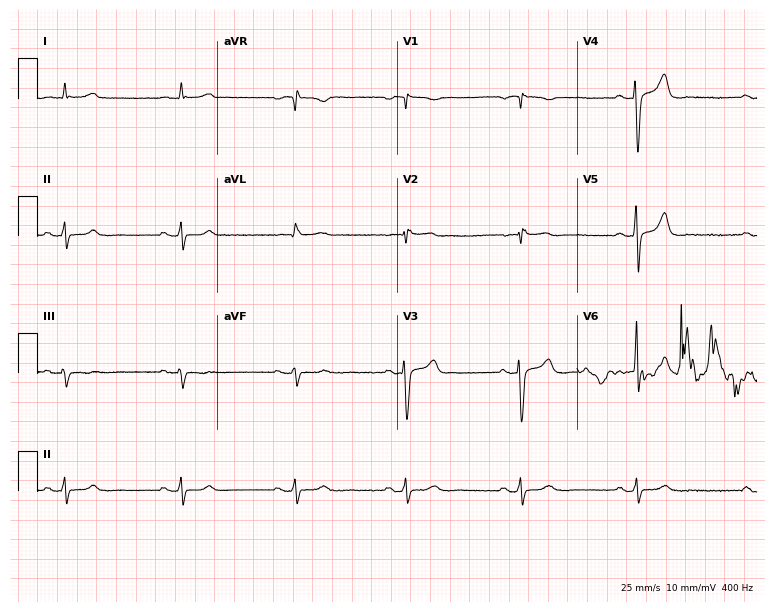
Electrocardiogram, a 62-year-old male patient. Of the six screened findings (first-degree AV block, right bundle branch block, left bundle branch block, sinus bradycardia, atrial fibrillation, sinus tachycardia), none is recorded.